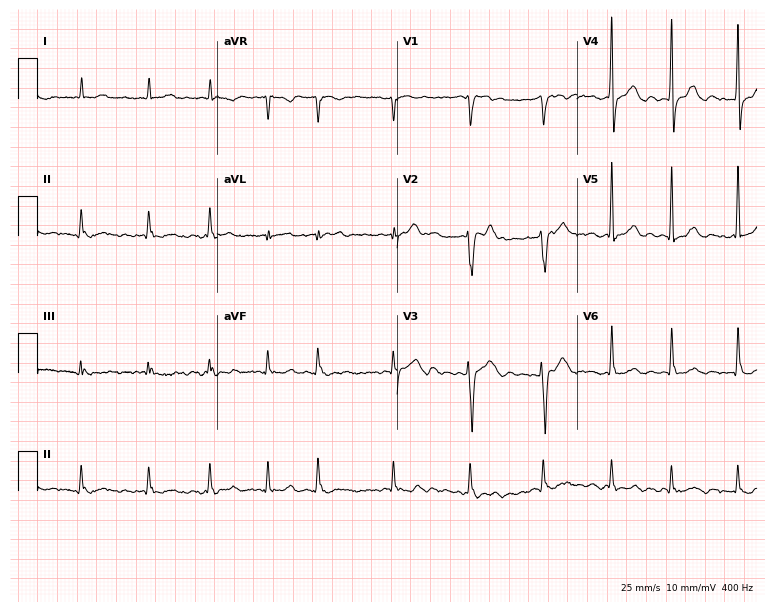
Electrocardiogram (7.3-second recording at 400 Hz), a 63-year-old male patient. Interpretation includes atrial fibrillation.